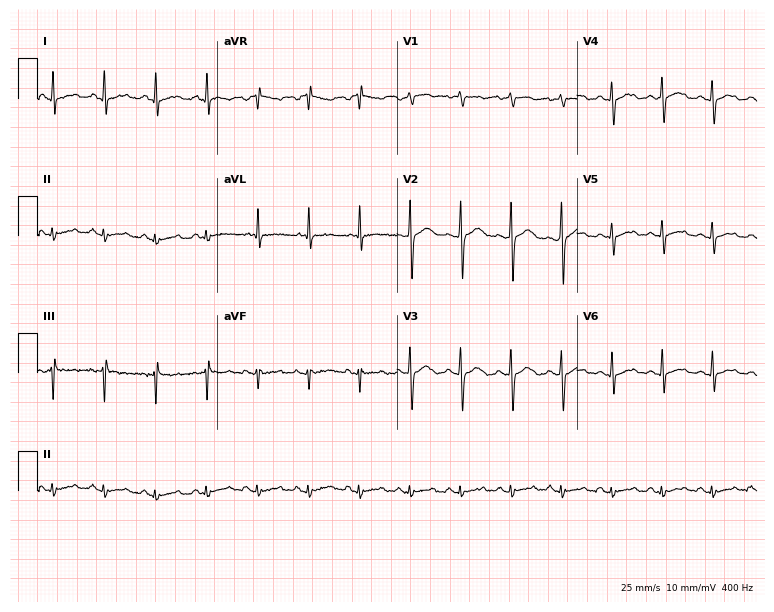
Resting 12-lead electrocardiogram (7.3-second recording at 400 Hz). Patient: a 39-year-old male. The tracing shows sinus tachycardia (a sinus rate of 100 beats per minute or more).